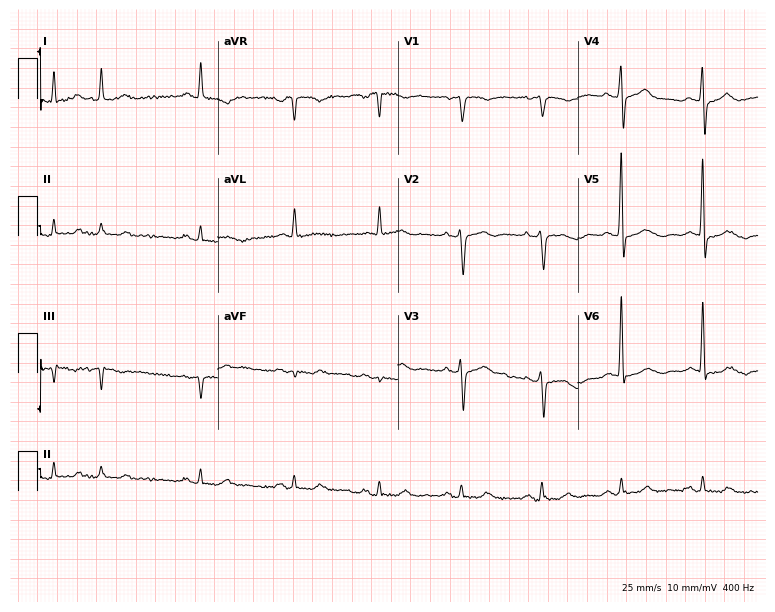
12-lead ECG (7.3-second recording at 400 Hz) from an 83-year-old male. Screened for six findings — first-degree AV block, right bundle branch block, left bundle branch block, sinus bradycardia, atrial fibrillation, sinus tachycardia — none is recorded. Findings outside these six are not listed.